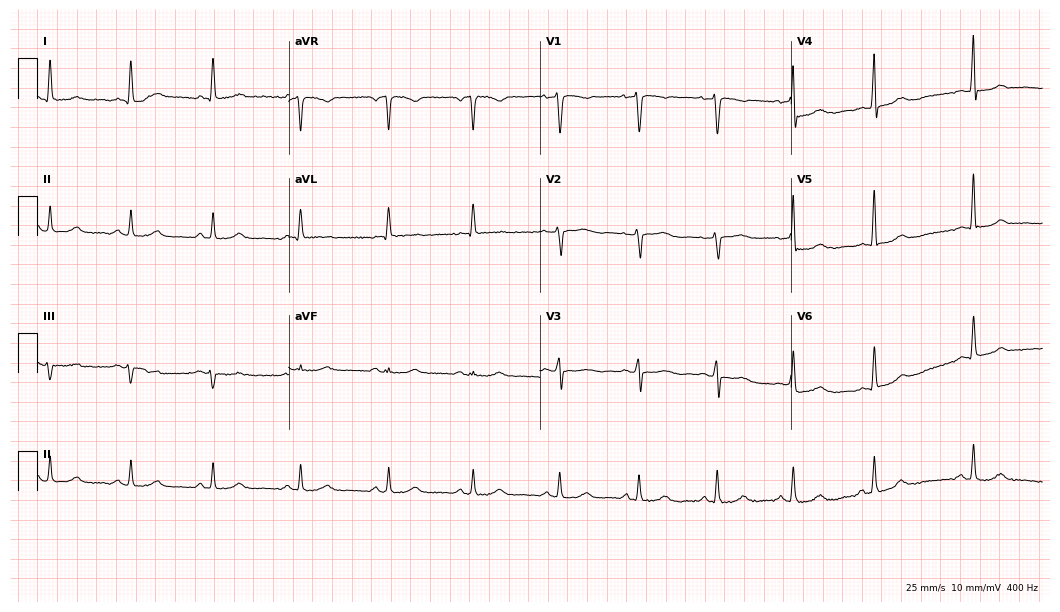
12-lead ECG from a 56-year-old woman. Labelled as a normal ECG.